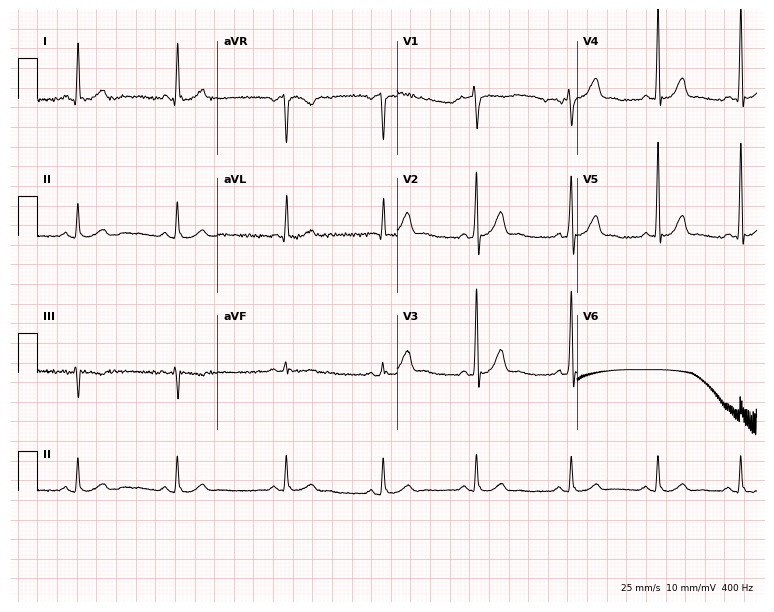
12-lead ECG from a male patient, 66 years old. No first-degree AV block, right bundle branch block, left bundle branch block, sinus bradycardia, atrial fibrillation or sinus tachycardia recorded for this tracing. Other findings, if any, are not listed.